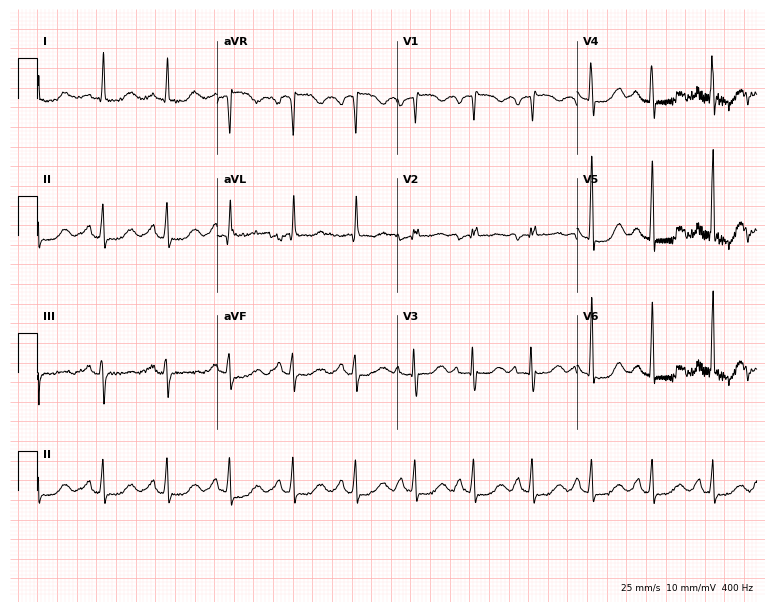
ECG (7.3-second recording at 400 Hz) — a 67-year-old woman. Labelled as a normal ECG.